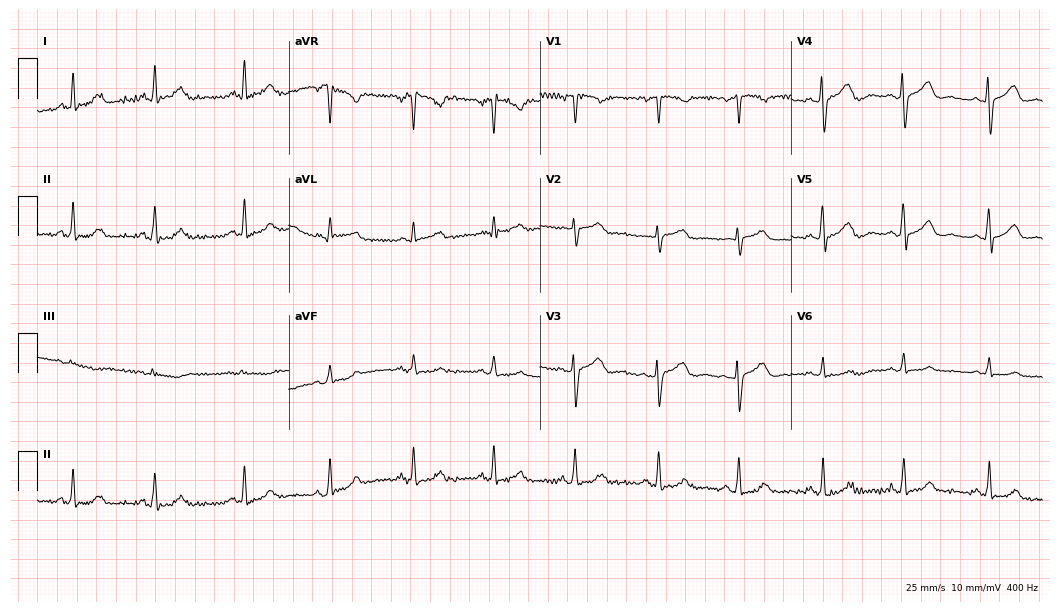
12-lead ECG from a 23-year-old female patient. Labelled as a normal ECG.